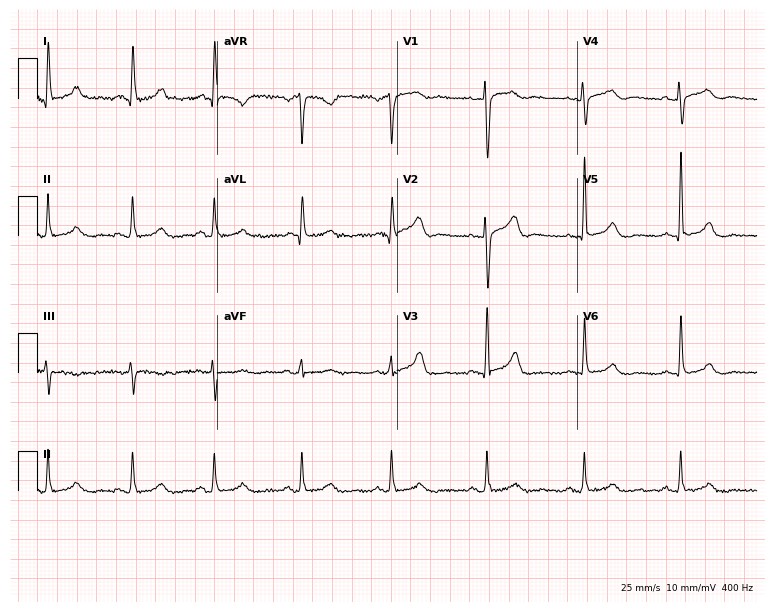
Standard 12-lead ECG recorded from a 69-year-old woman (7.3-second recording at 400 Hz). None of these six findings is recorded: first-degree AV block, right bundle branch block, left bundle branch block, sinus bradycardia, atrial fibrillation, sinus tachycardia.